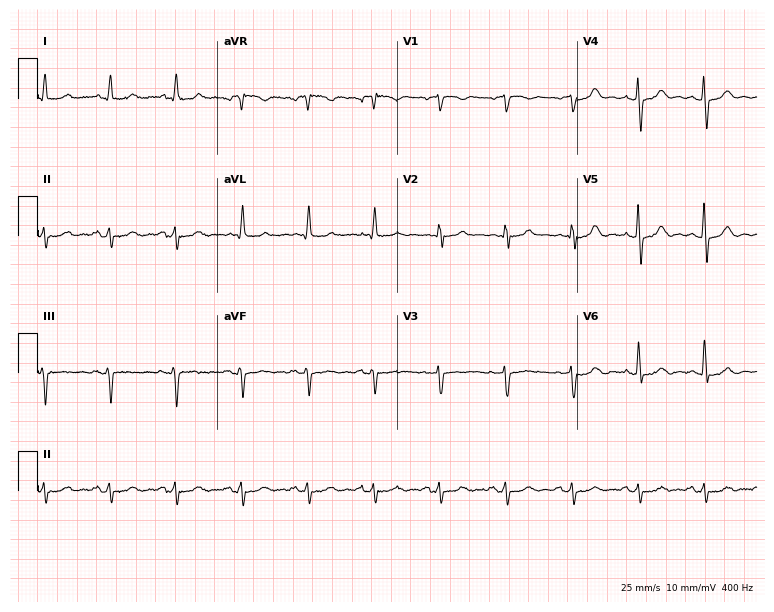
Resting 12-lead electrocardiogram. Patient: a man, 83 years old. None of these six findings is recorded: first-degree AV block, right bundle branch block, left bundle branch block, sinus bradycardia, atrial fibrillation, sinus tachycardia. Findings outside these six are not listed.